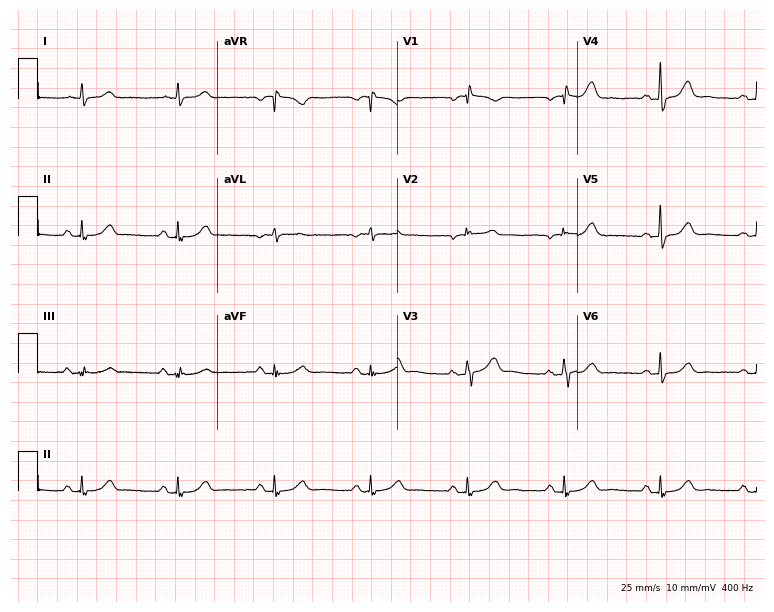
12-lead ECG from a male patient, 78 years old. Screened for six findings — first-degree AV block, right bundle branch block, left bundle branch block, sinus bradycardia, atrial fibrillation, sinus tachycardia — none is recorded. Findings outside these six are not listed.